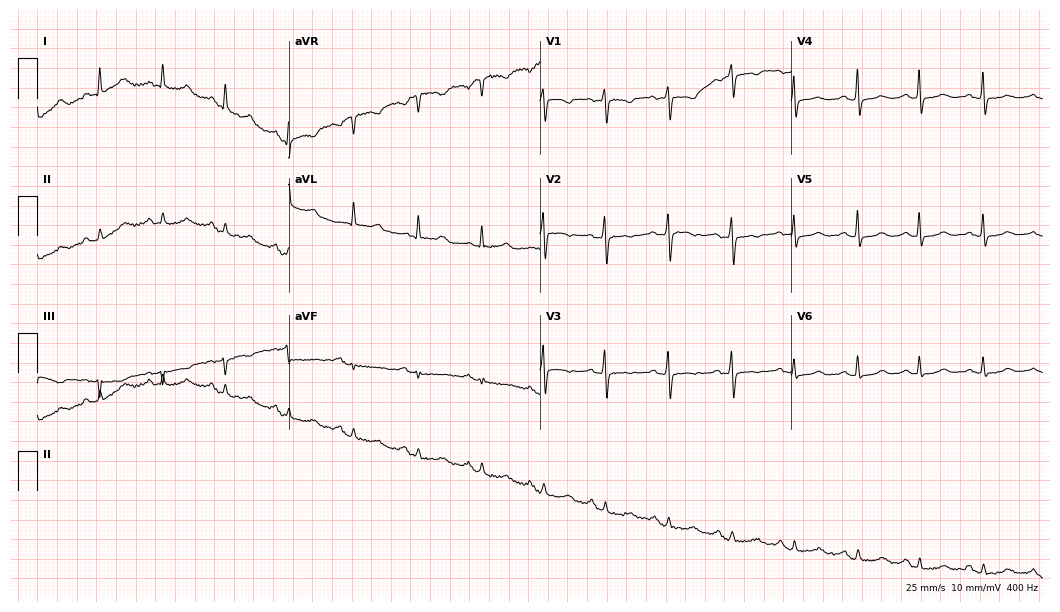
Resting 12-lead electrocardiogram. Patient: a 69-year-old female. None of these six findings is recorded: first-degree AV block, right bundle branch block, left bundle branch block, sinus bradycardia, atrial fibrillation, sinus tachycardia.